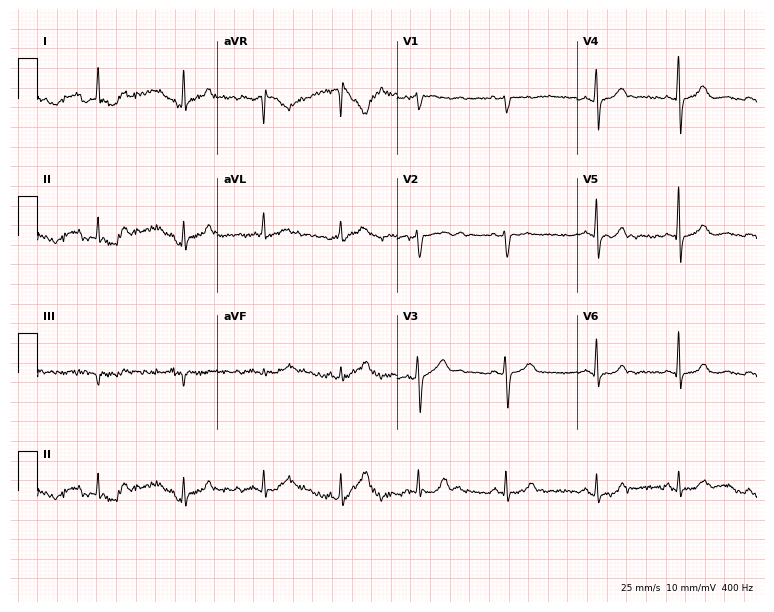
Resting 12-lead electrocardiogram. Patient: a woman, 45 years old. None of these six findings is recorded: first-degree AV block, right bundle branch block, left bundle branch block, sinus bradycardia, atrial fibrillation, sinus tachycardia. Only these six findings were labelled.